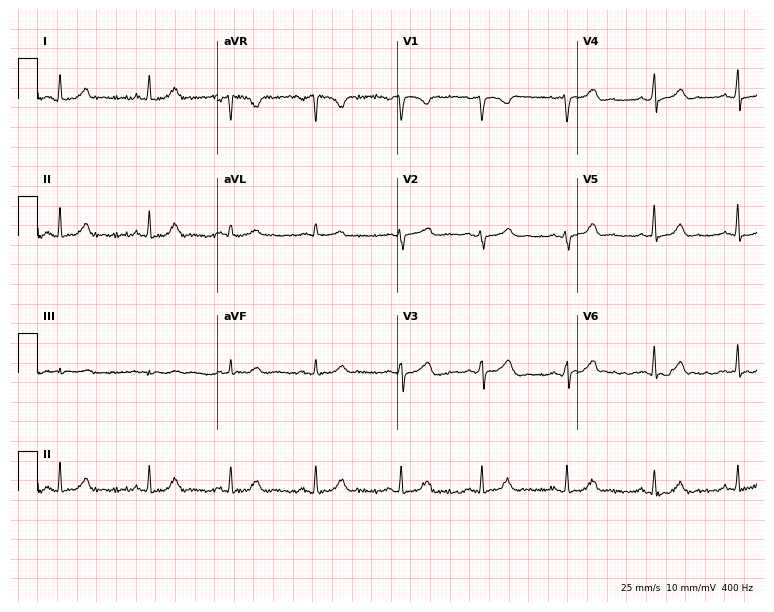
Standard 12-lead ECG recorded from a 43-year-old female patient. None of these six findings is recorded: first-degree AV block, right bundle branch block, left bundle branch block, sinus bradycardia, atrial fibrillation, sinus tachycardia.